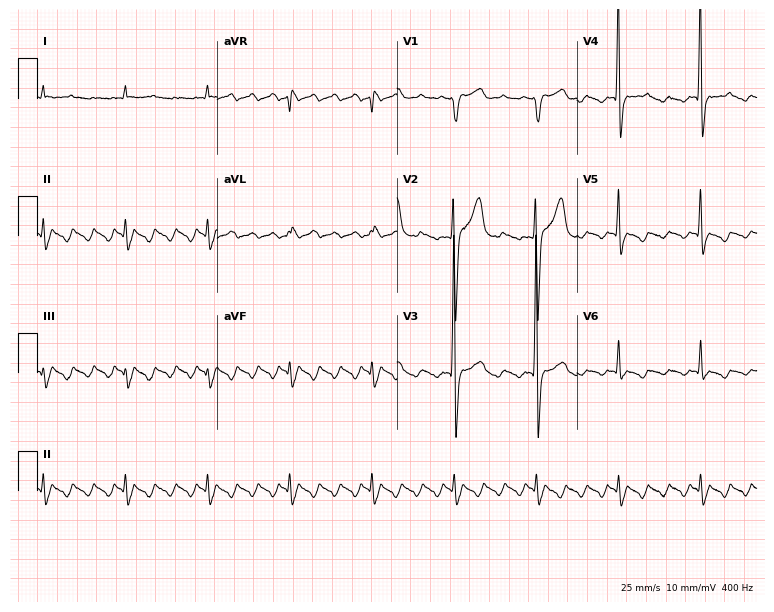
Electrocardiogram, a male patient, 85 years old. Of the six screened findings (first-degree AV block, right bundle branch block, left bundle branch block, sinus bradycardia, atrial fibrillation, sinus tachycardia), none is recorded.